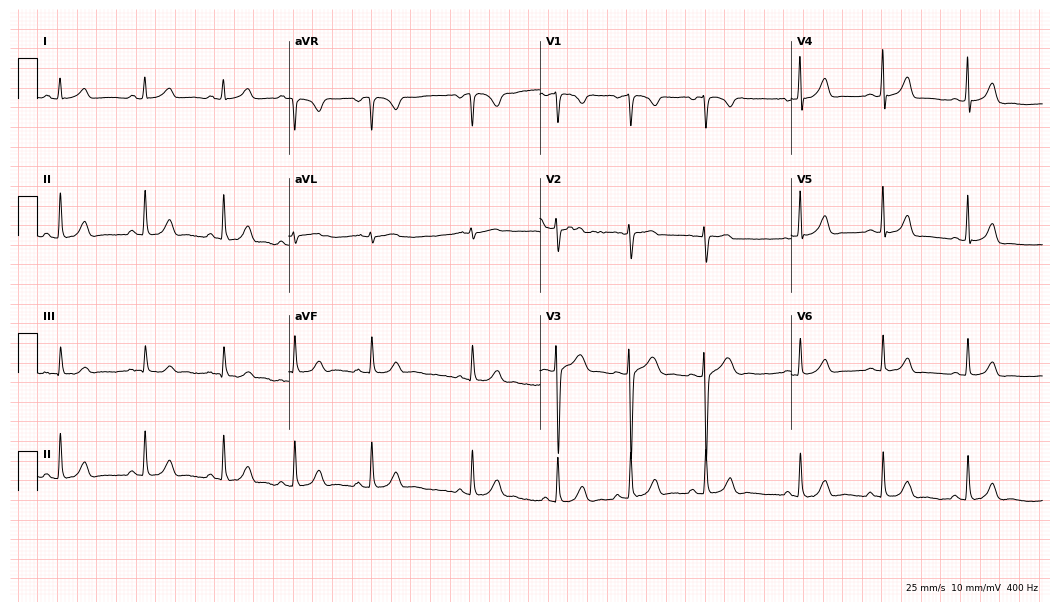
12-lead ECG (10.2-second recording at 400 Hz) from a 17-year-old female patient. Screened for six findings — first-degree AV block, right bundle branch block, left bundle branch block, sinus bradycardia, atrial fibrillation, sinus tachycardia — none is recorded. Only these six findings were labelled.